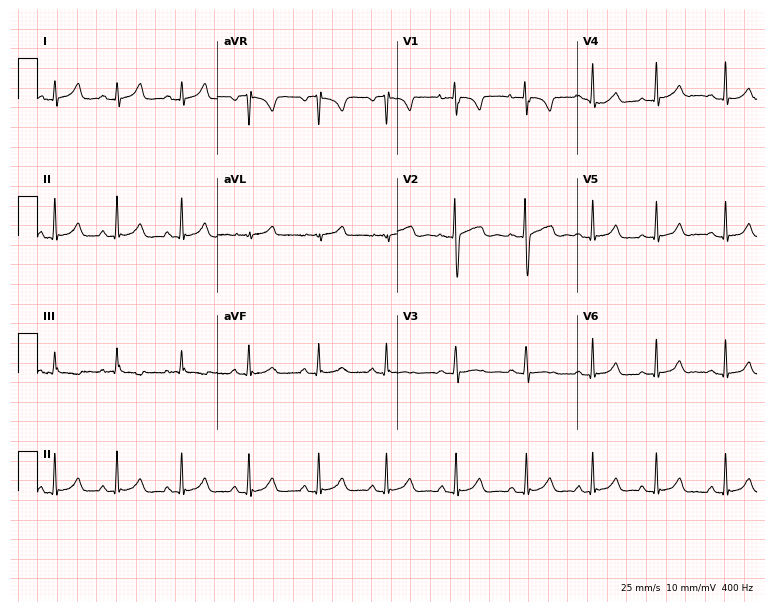
Resting 12-lead electrocardiogram (7.3-second recording at 400 Hz). Patient: a 17-year-old woman. Read as a normal ECG.